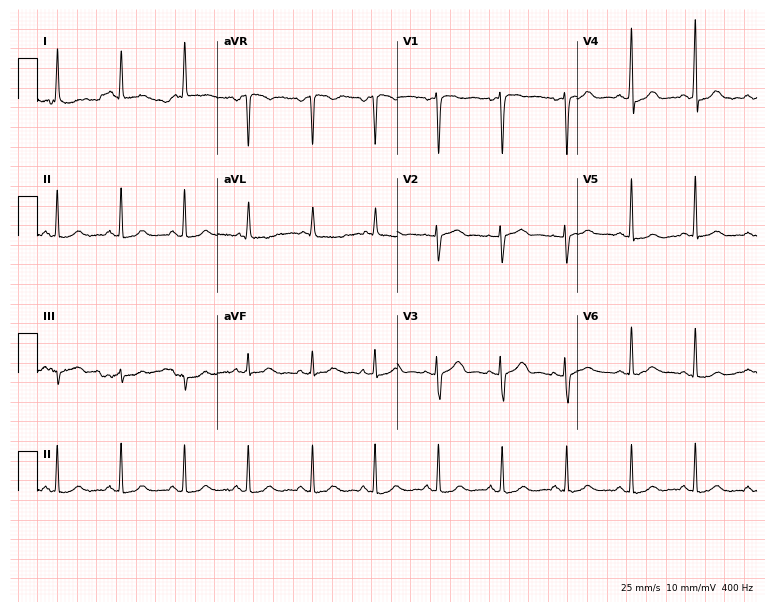
12-lead ECG from a 36-year-old female patient. Screened for six findings — first-degree AV block, right bundle branch block, left bundle branch block, sinus bradycardia, atrial fibrillation, sinus tachycardia — none is recorded. Only these six findings were labelled.